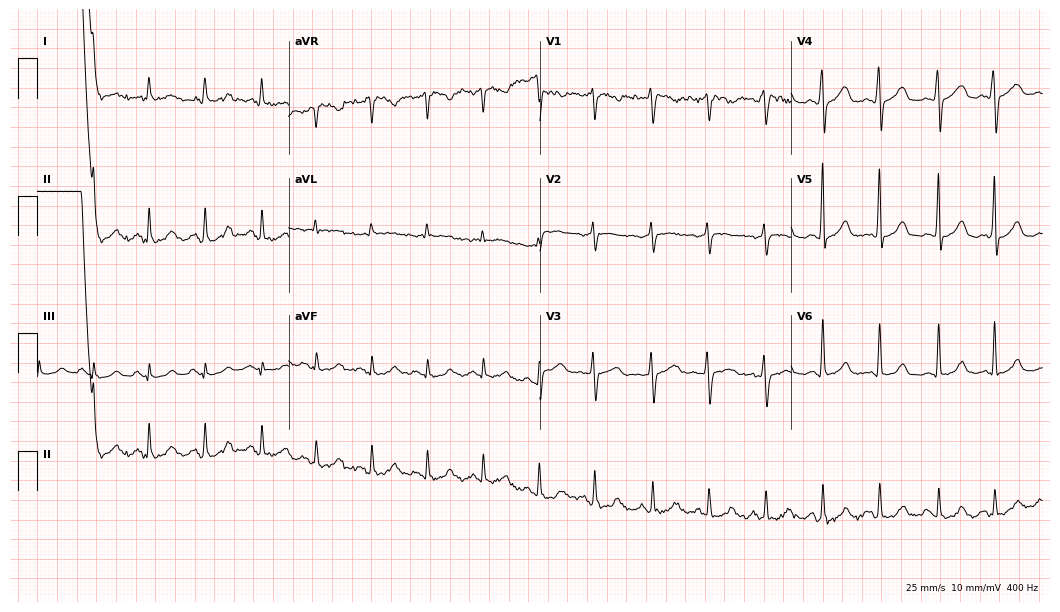
Electrocardiogram (10.2-second recording at 400 Hz), a female patient, 51 years old. Interpretation includes sinus tachycardia (a sinus rate of 100 beats per minute or more).